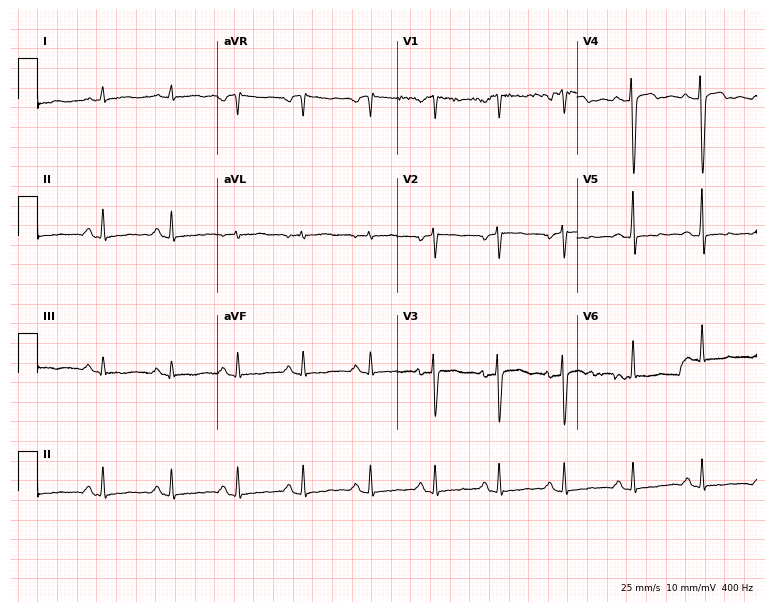
Resting 12-lead electrocardiogram. Patient: a 25-year-old female. None of these six findings is recorded: first-degree AV block, right bundle branch block, left bundle branch block, sinus bradycardia, atrial fibrillation, sinus tachycardia. Findings outside these six are not listed.